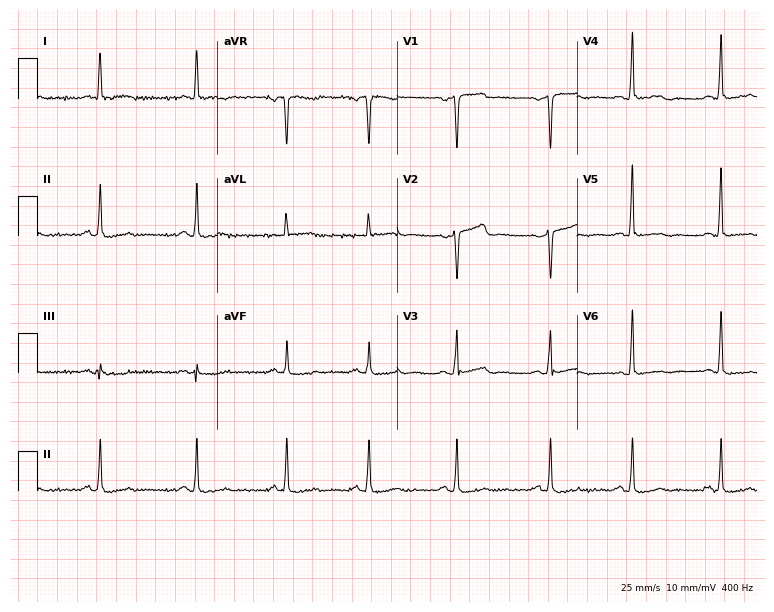
Electrocardiogram, a female patient, 47 years old. Of the six screened findings (first-degree AV block, right bundle branch block (RBBB), left bundle branch block (LBBB), sinus bradycardia, atrial fibrillation (AF), sinus tachycardia), none is recorded. Findings outside these six are not listed.